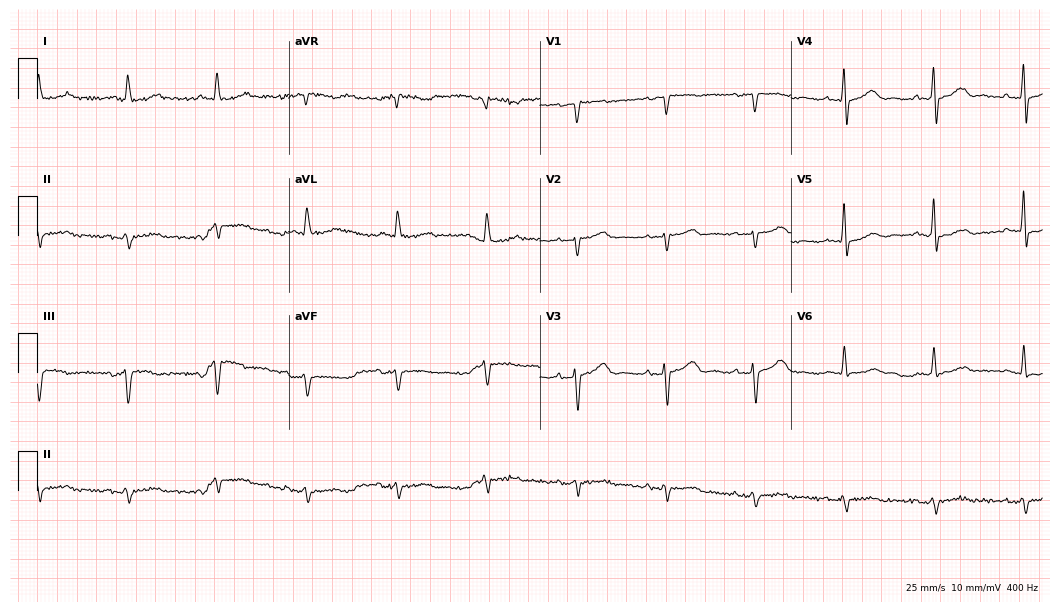
Electrocardiogram (10.2-second recording at 400 Hz), a 76-year-old male. Of the six screened findings (first-degree AV block, right bundle branch block (RBBB), left bundle branch block (LBBB), sinus bradycardia, atrial fibrillation (AF), sinus tachycardia), none is recorded.